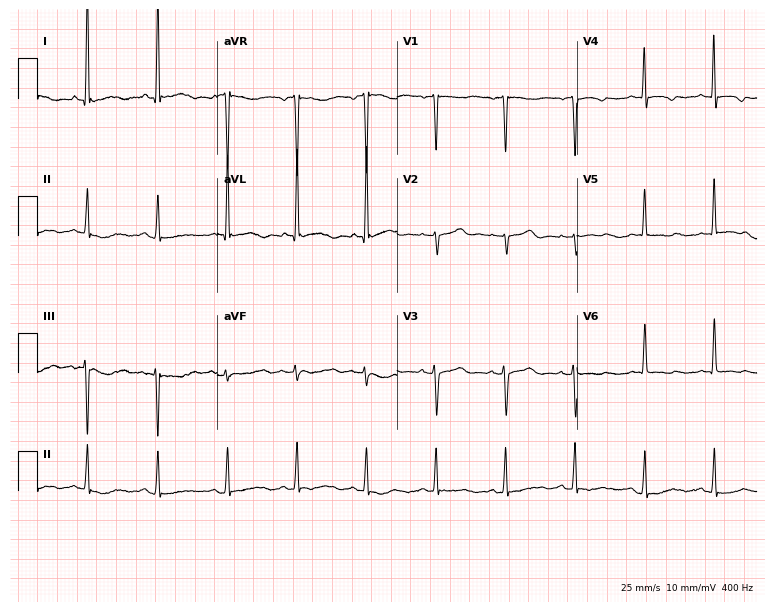
12-lead ECG from a female patient, 71 years old. No first-degree AV block, right bundle branch block (RBBB), left bundle branch block (LBBB), sinus bradycardia, atrial fibrillation (AF) or sinus tachycardia recorded for this tracing. Only these six findings were labelled.